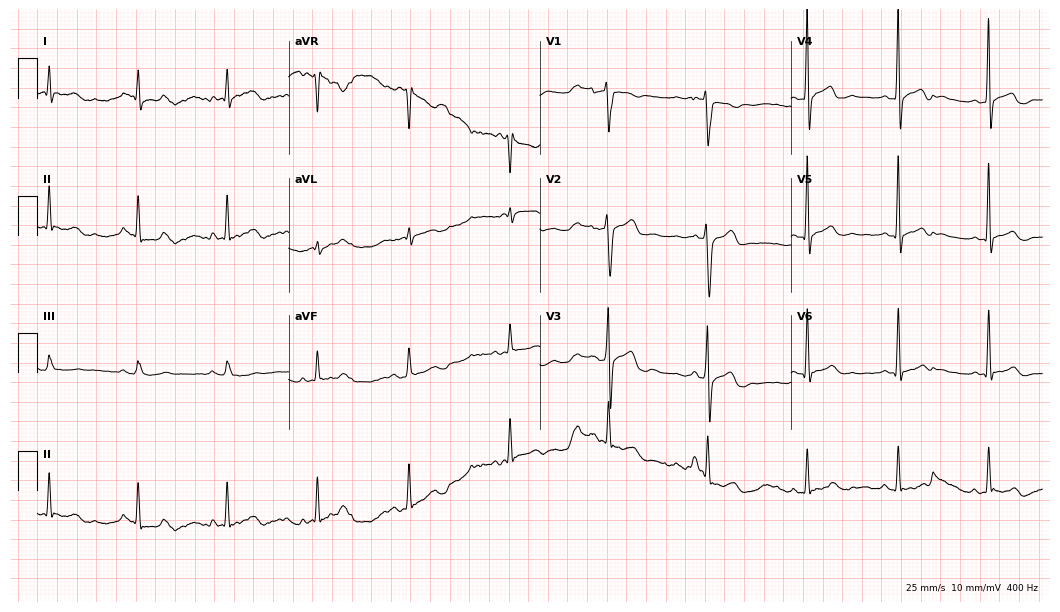
Electrocardiogram, a 36-year-old male. Of the six screened findings (first-degree AV block, right bundle branch block (RBBB), left bundle branch block (LBBB), sinus bradycardia, atrial fibrillation (AF), sinus tachycardia), none is recorded. Other findings, if any, are not listed.